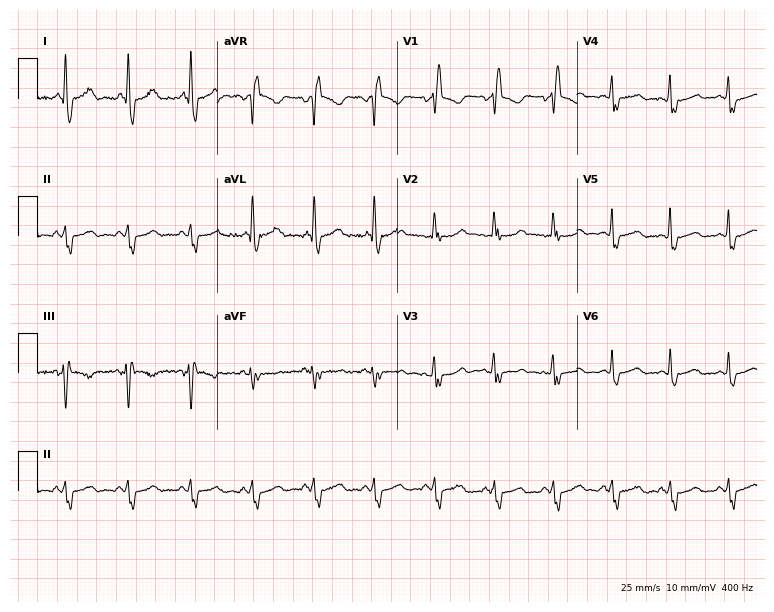
Standard 12-lead ECG recorded from a female patient, 67 years old (7.3-second recording at 400 Hz). The tracing shows right bundle branch block.